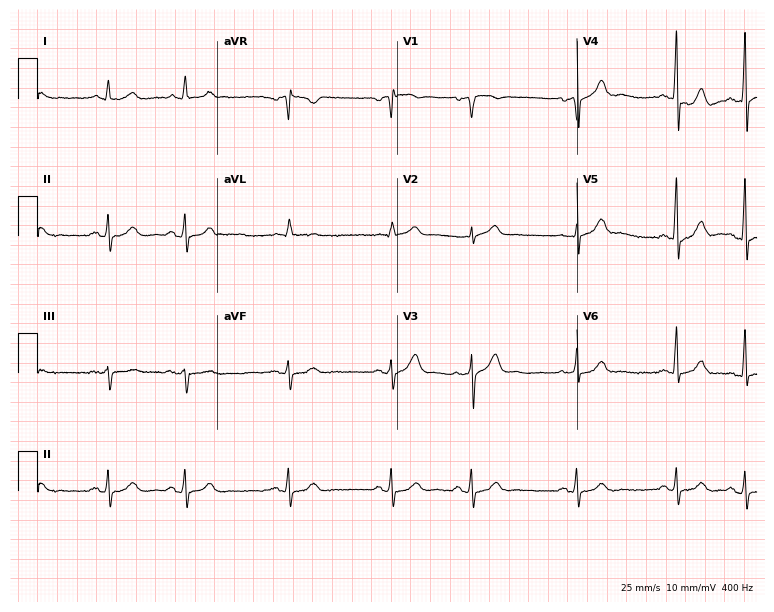
12-lead ECG from a male, 60 years old (7.3-second recording at 400 Hz). Recorded interpretation: within normal limits.